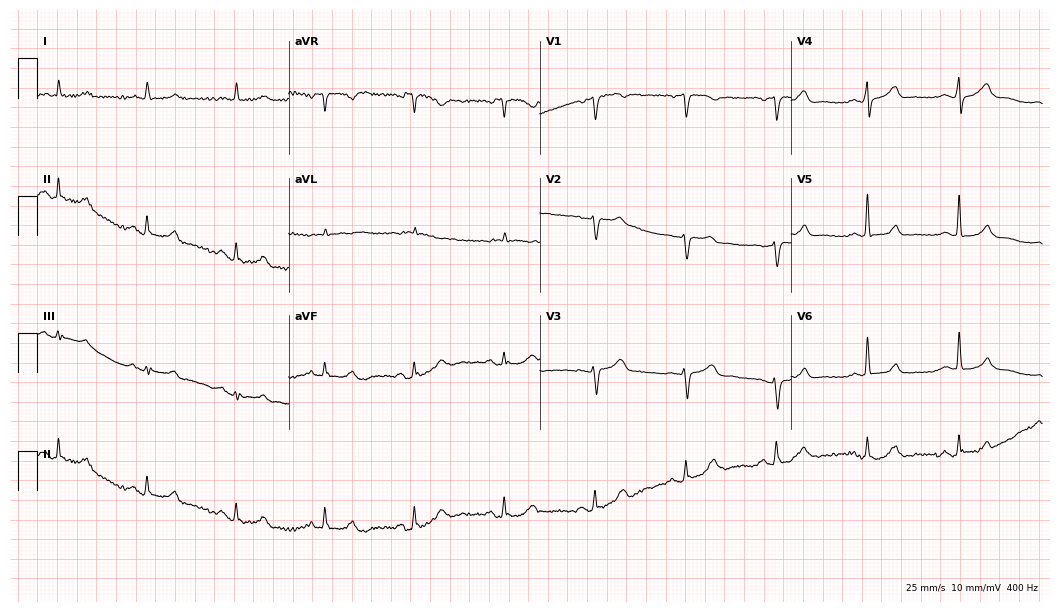
Standard 12-lead ECG recorded from a man, 68 years old. Read as a normal ECG.